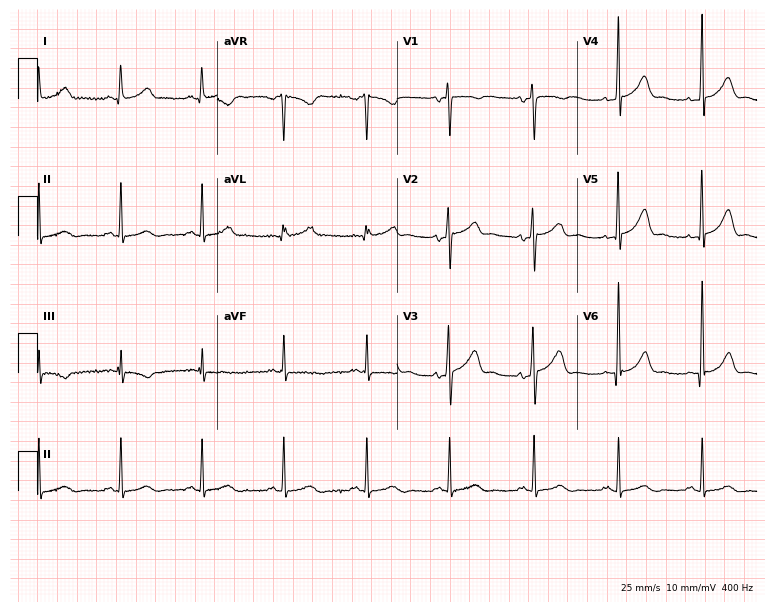
Standard 12-lead ECG recorded from a female, 42 years old. Read as a normal ECG.